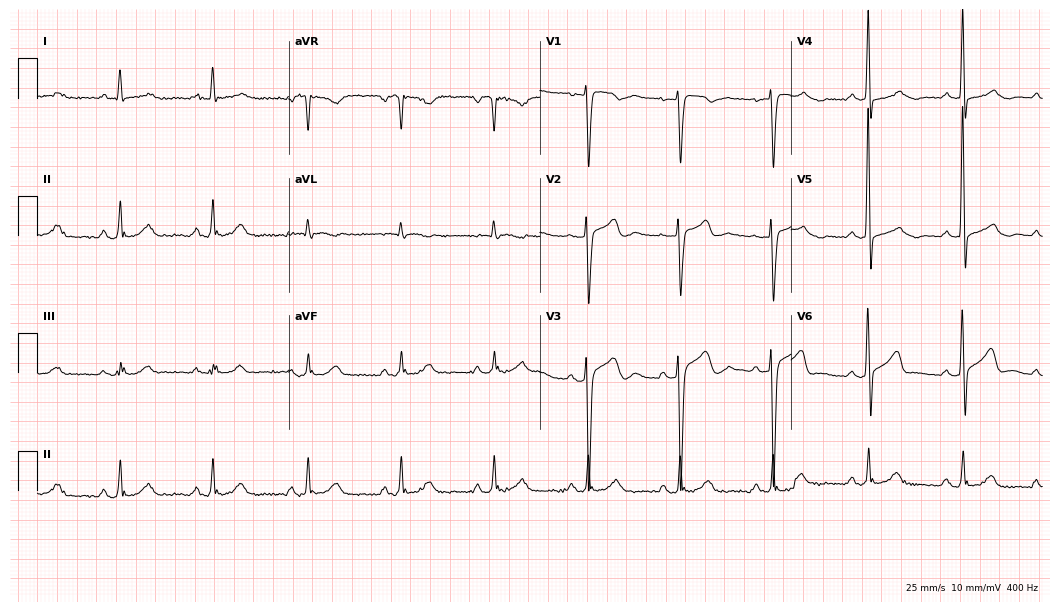
Electrocardiogram (10.2-second recording at 400 Hz), a man, 51 years old. Overall reading on record: normal ECG.